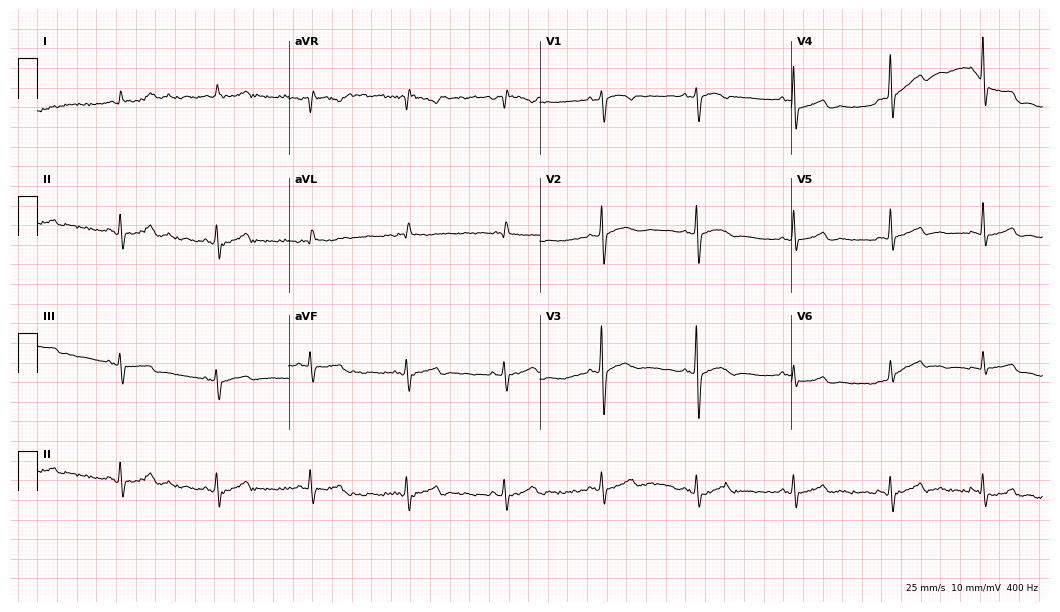
Resting 12-lead electrocardiogram (10.2-second recording at 400 Hz). Patient: an 85-year-old female. Read as a normal ECG.